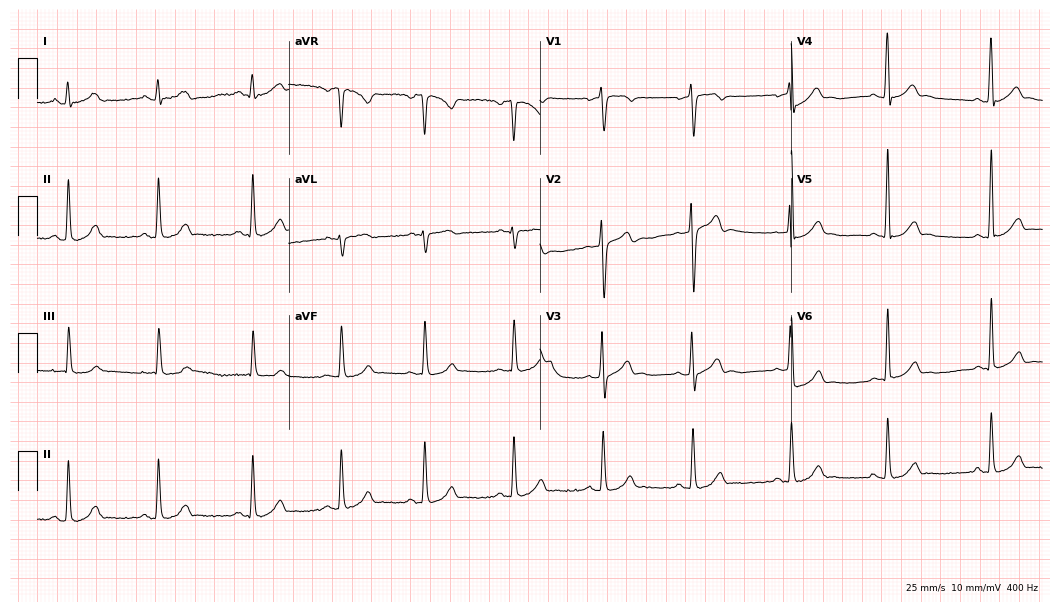
Resting 12-lead electrocardiogram. Patient: a 23-year-old man. Read as a normal ECG.